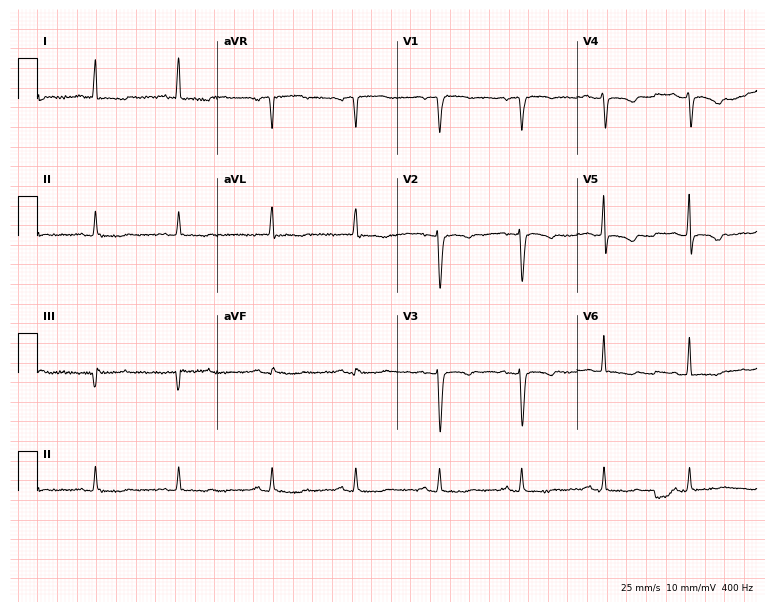
Standard 12-lead ECG recorded from a female, 64 years old. None of these six findings is recorded: first-degree AV block, right bundle branch block, left bundle branch block, sinus bradycardia, atrial fibrillation, sinus tachycardia. Other findings, if any, are not listed.